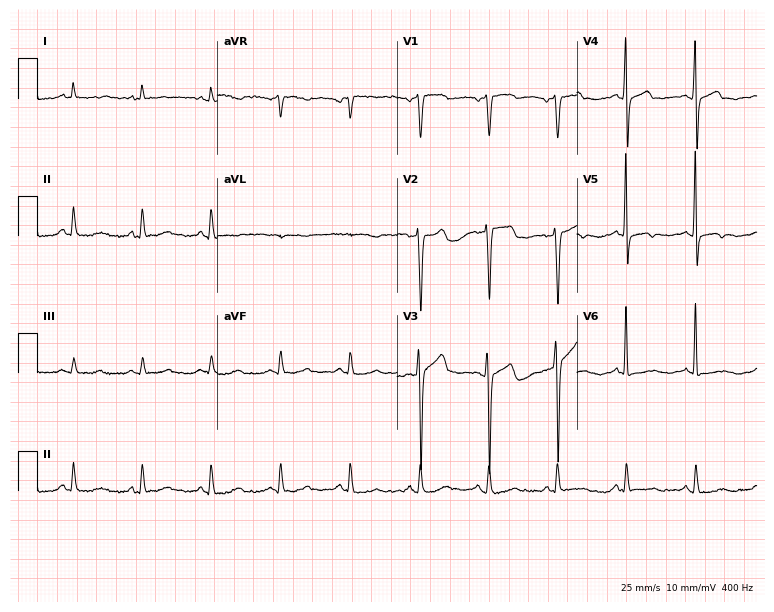
Electrocardiogram, a man, 60 years old. Of the six screened findings (first-degree AV block, right bundle branch block, left bundle branch block, sinus bradycardia, atrial fibrillation, sinus tachycardia), none is recorded.